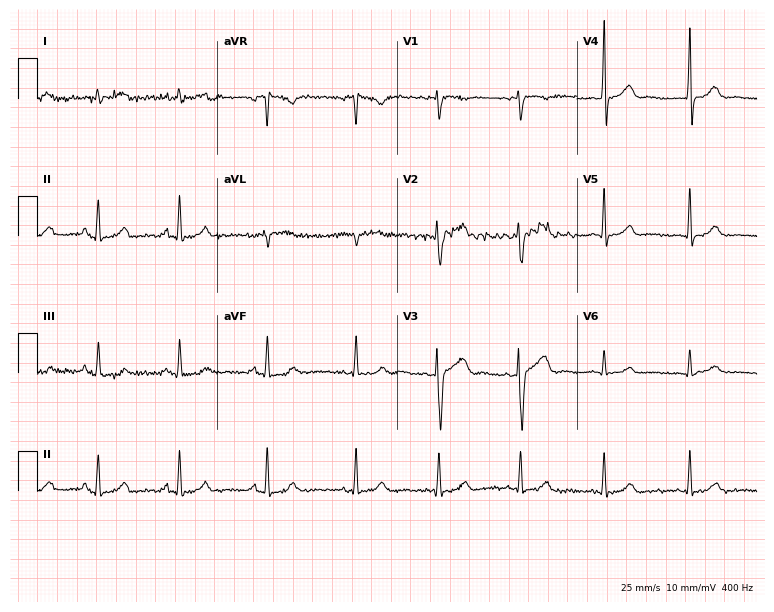
Standard 12-lead ECG recorded from a 37-year-old female. Read as a normal ECG.